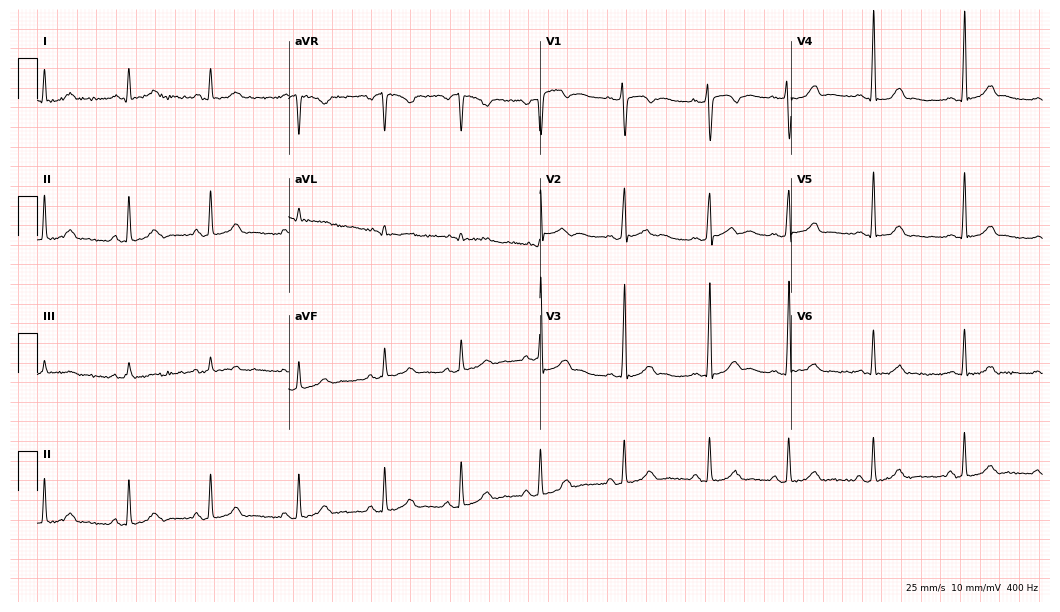
ECG (10.2-second recording at 400 Hz) — a 24-year-old female patient. Labelled as a normal ECG.